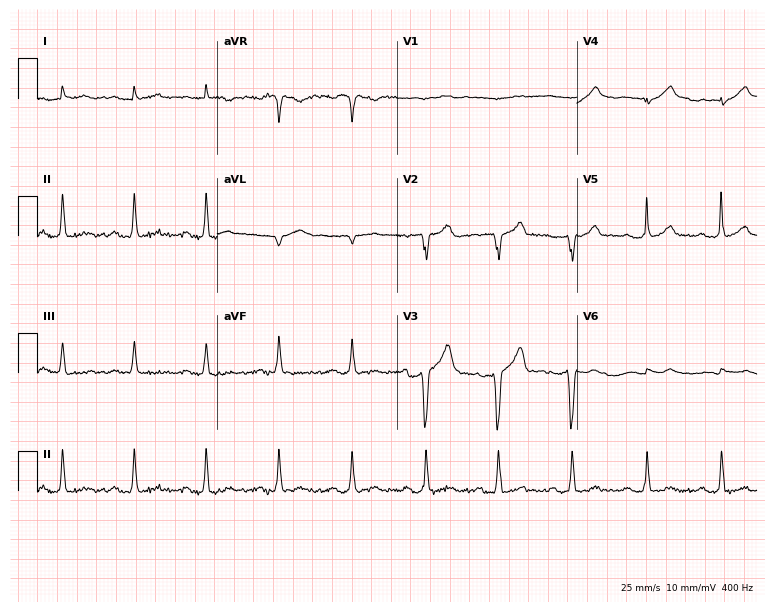
Electrocardiogram, a 78-year-old man. Of the six screened findings (first-degree AV block, right bundle branch block (RBBB), left bundle branch block (LBBB), sinus bradycardia, atrial fibrillation (AF), sinus tachycardia), none is recorded.